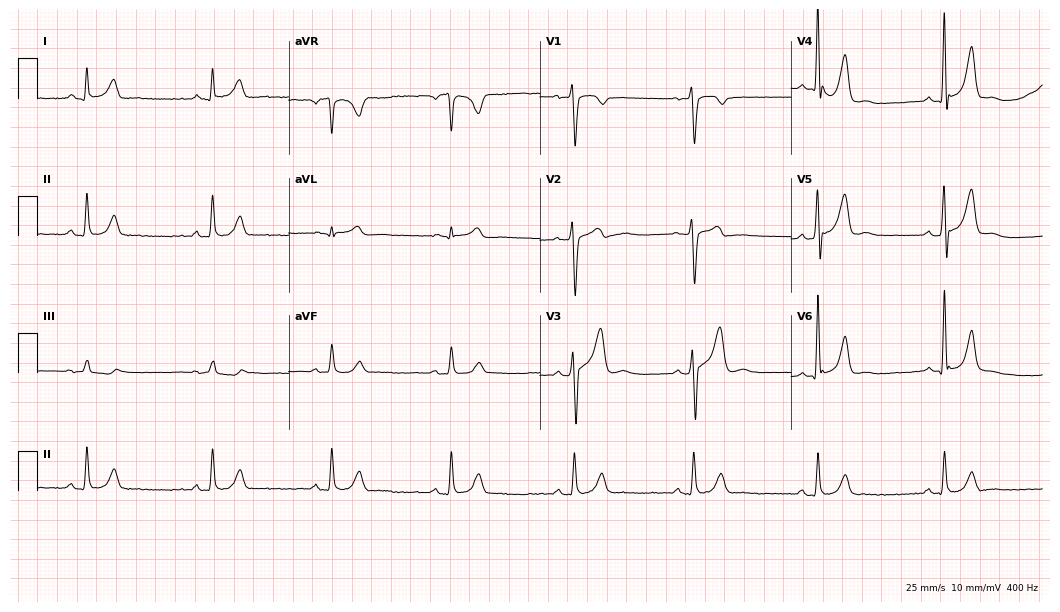
Electrocardiogram, a male patient, 43 years old. Interpretation includes sinus bradycardia (a sinus rate of 50 beats per minute or less).